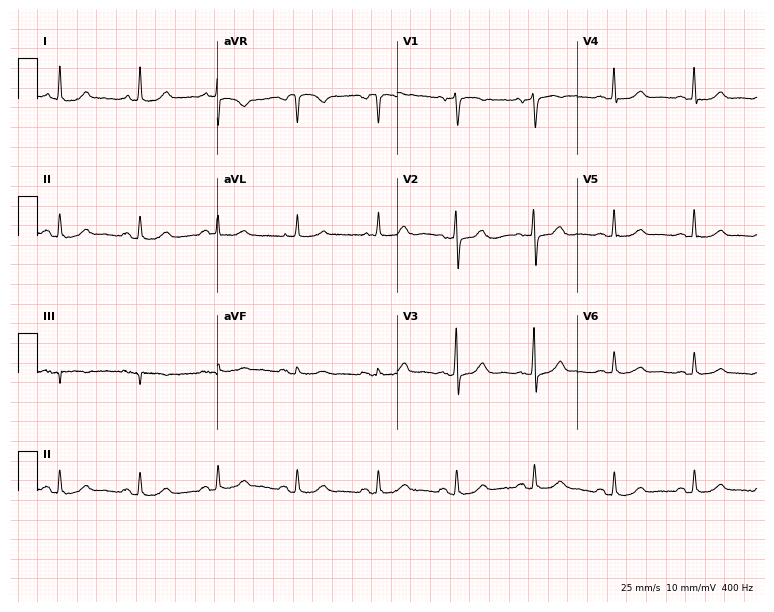
Resting 12-lead electrocardiogram (7.3-second recording at 400 Hz). Patient: a 72-year-old woman. Read as a normal ECG.